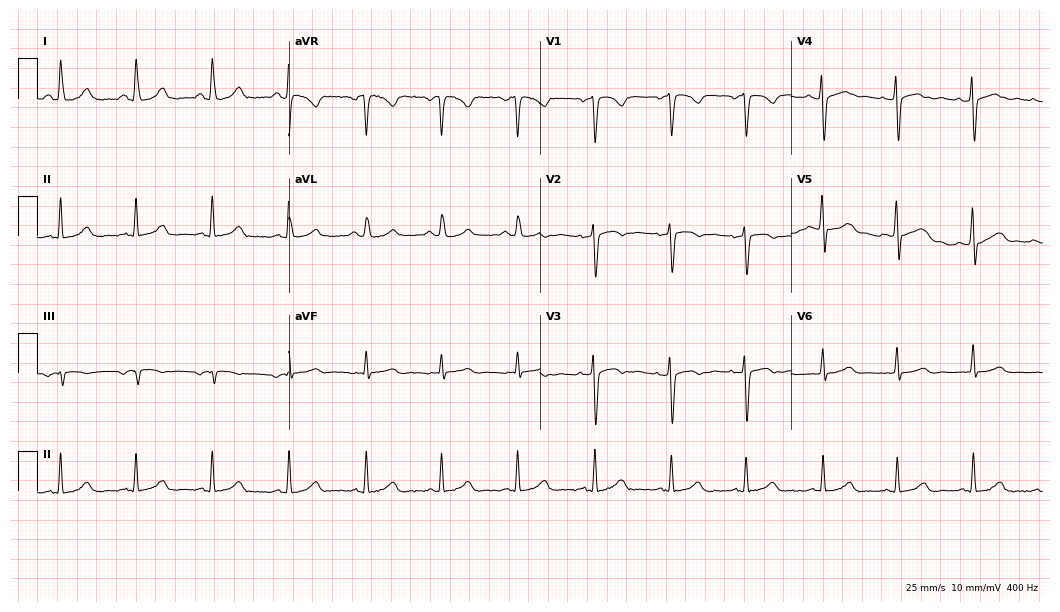
Electrocardiogram, a female patient, 49 years old. Of the six screened findings (first-degree AV block, right bundle branch block (RBBB), left bundle branch block (LBBB), sinus bradycardia, atrial fibrillation (AF), sinus tachycardia), none is recorded.